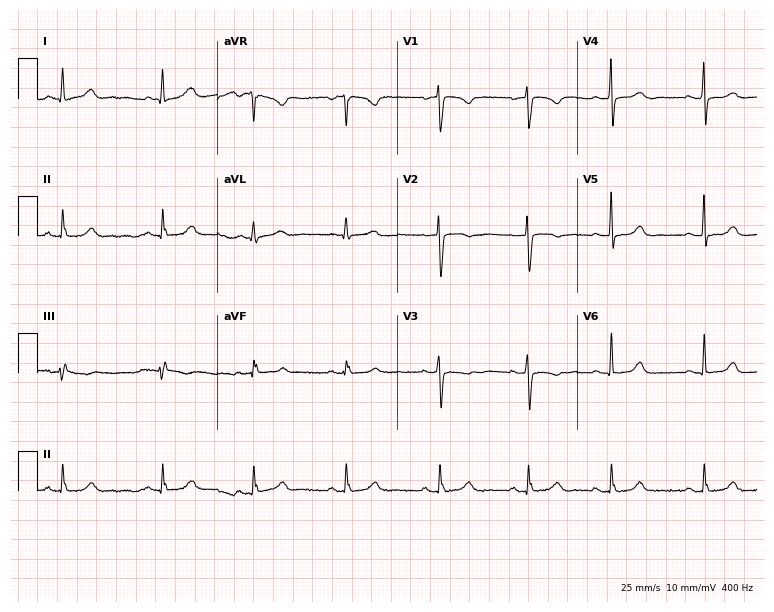
Standard 12-lead ECG recorded from a female patient, 44 years old (7.3-second recording at 400 Hz). None of these six findings is recorded: first-degree AV block, right bundle branch block (RBBB), left bundle branch block (LBBB), sinus bradycardia, atrial fibrillation (AF), sinus tachycardia. Findings outside these six are not listed.